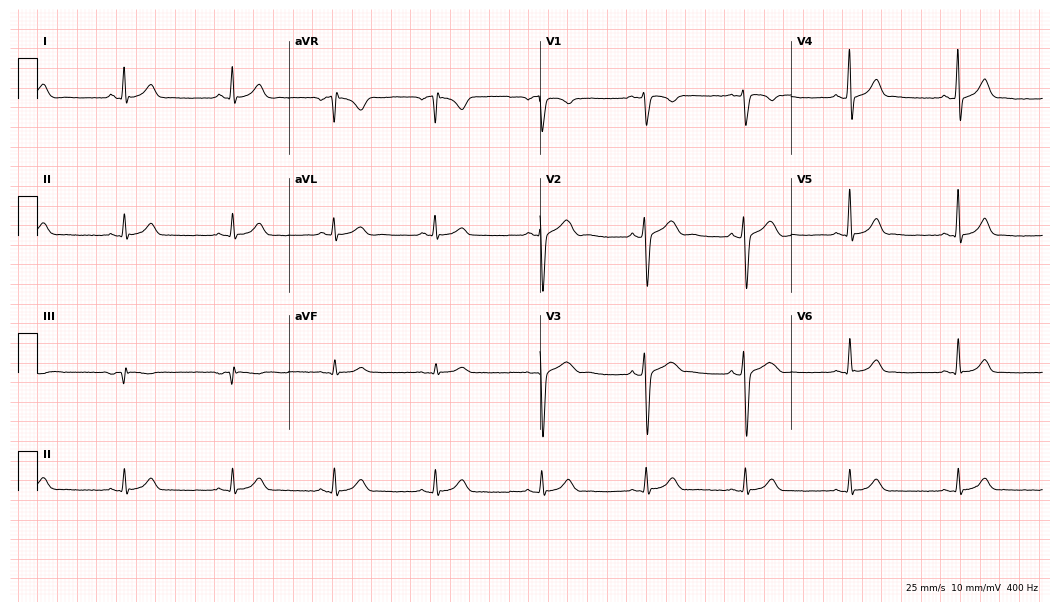
Electrocardiogram, a man, 34 years old. Overall reading on record: normal ECG.